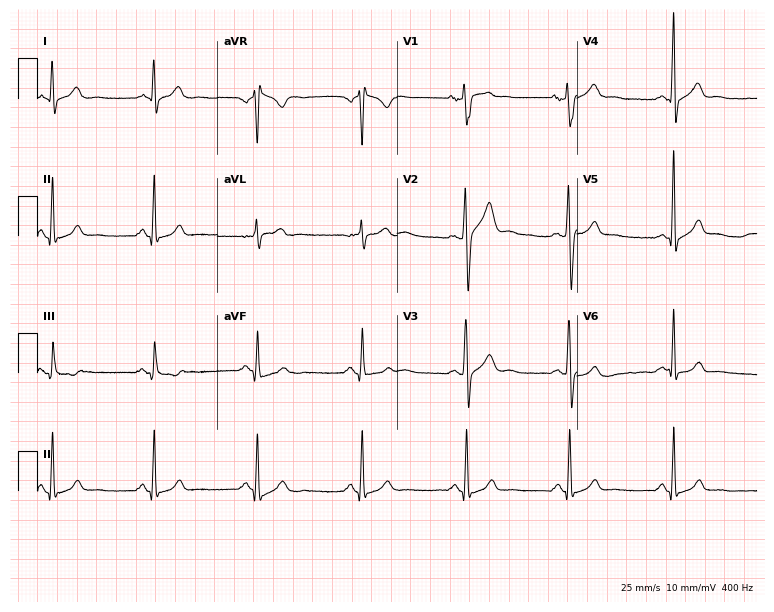
12-lead ECG (7.3-second recording at 400 Hz) from a 50-year-old male patient. Screened for six findings — first-degree AV block, right bundle branch block, left bundle branch block, sinus bradycardia, atrial fibrillation, sinus tachycardia — none is recorded.